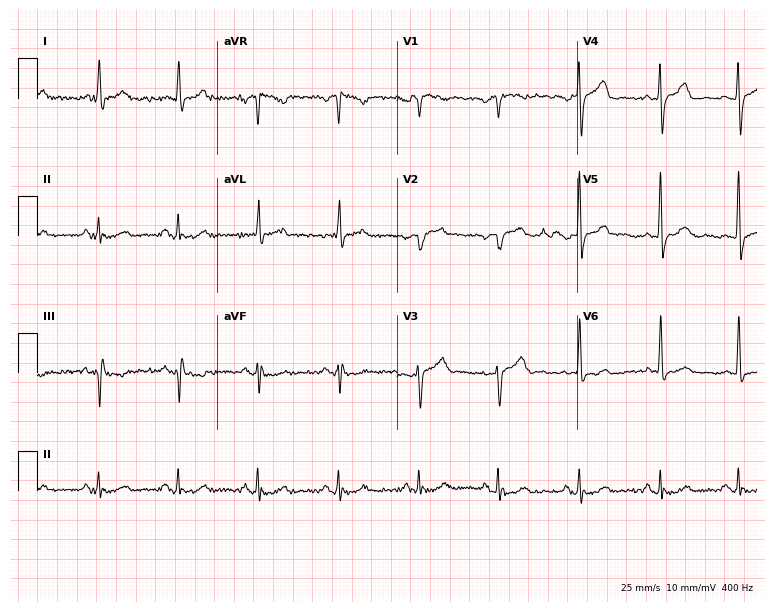
Electrocardiogram, a 72-year-old man. Of the six screened findings (first-degree AV block, right bundle branch block (RBBB), left bundle branch block (LBBB), sinus bradycardia, atrial fibrillation (AF), sinus tachycardia), none is recorded.